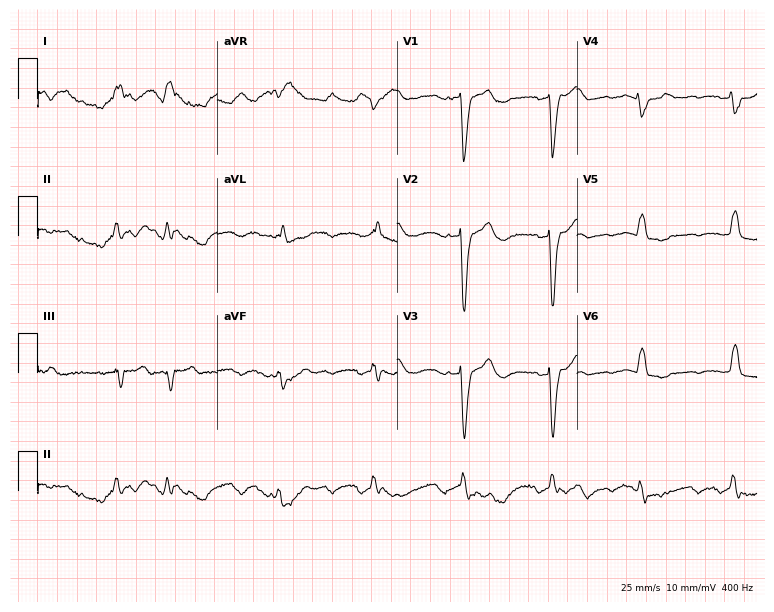
ECG — an 82-year-old female. Findings include left bundle branch block (LBBB), atrial fibrillation (AF).